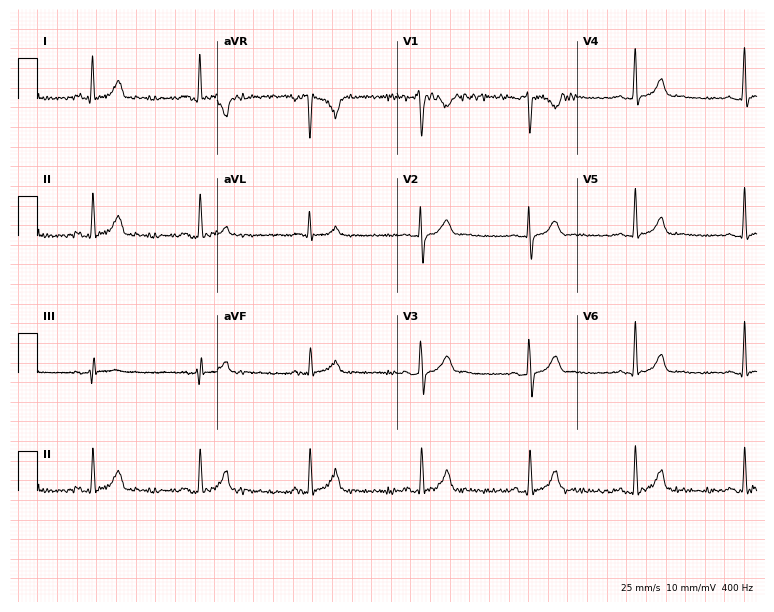
ECG (7.3-second recording at 400 Hz) — a male patient, 27 years old. Labelled as a normal ECG.